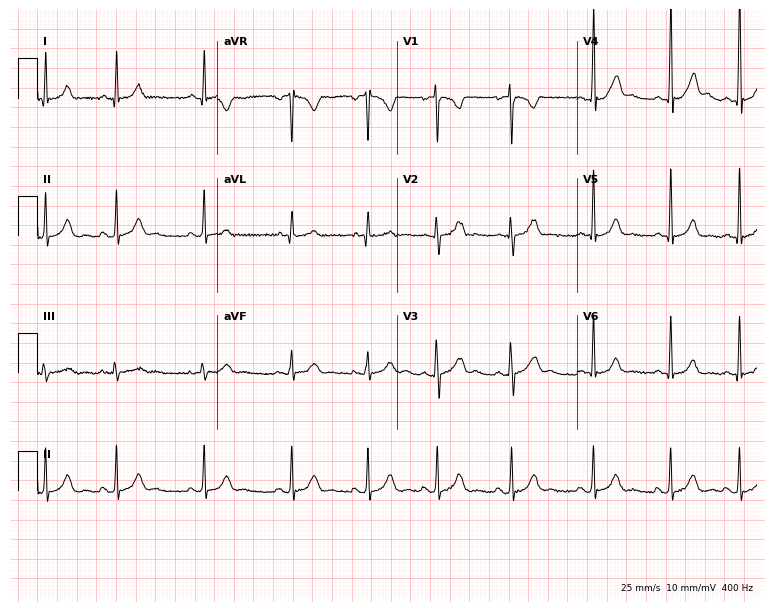
Electrocardiogram, a female patient, 18 years old. Overall reading on record: normal ECG.